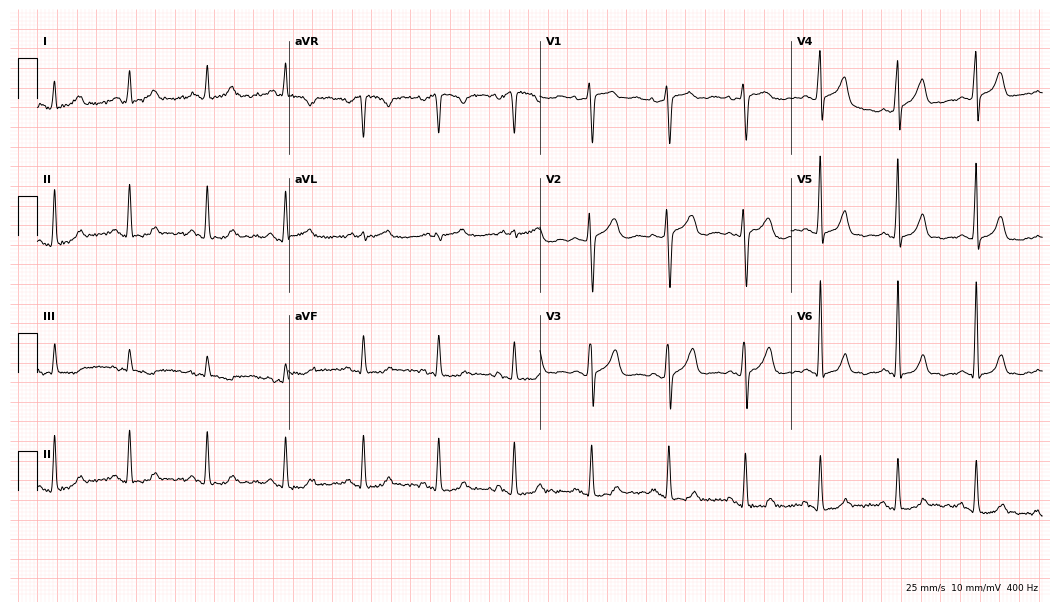
Standard 12-lead ECG recorded from a female, 54 years old. Read as a normal ECG.